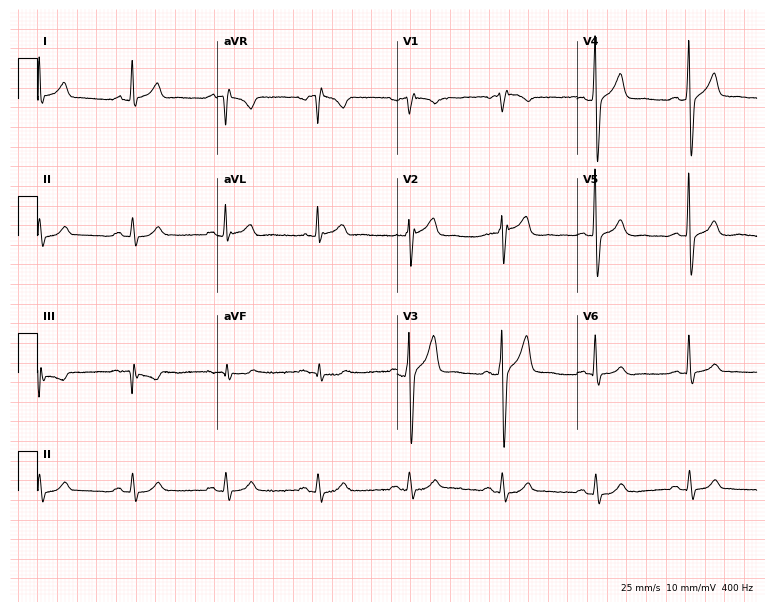
Resting 12-lead electrocardiogram (7.3-second recording at 400 Hz). Patient: a male, 59 years old. None of these six findings is recorded: first-degree AV block, right bundle branch block (RBBB), left bundle branch block (LBBB), sinus bradycardia, atrial fibrillation (AF), sinus tachycardia.